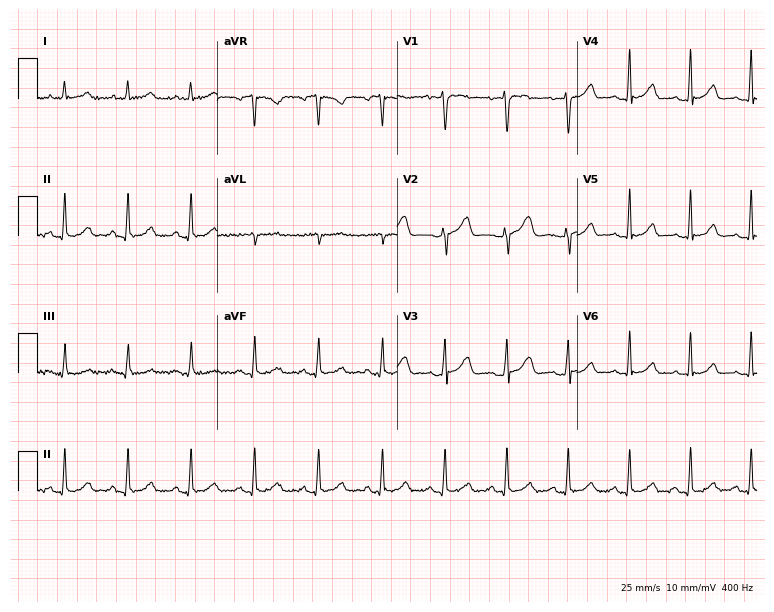
ECG — a 35-year-old female patient. Labelled as a normal ECG.